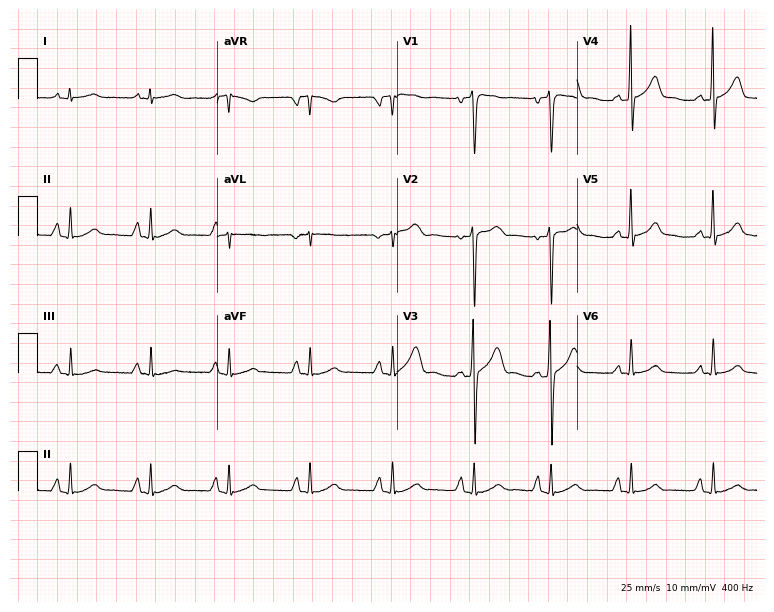
ECG — a male patient, 33 years old. Screened for six findings — first-degree AV block, right bundle branch block (RBBB), left bundle branch block (LBBB), sinus bradycardia, atrial fibrillation (AF), sinus tachycardia — none is recorded. Other findings, if any, are not listed.